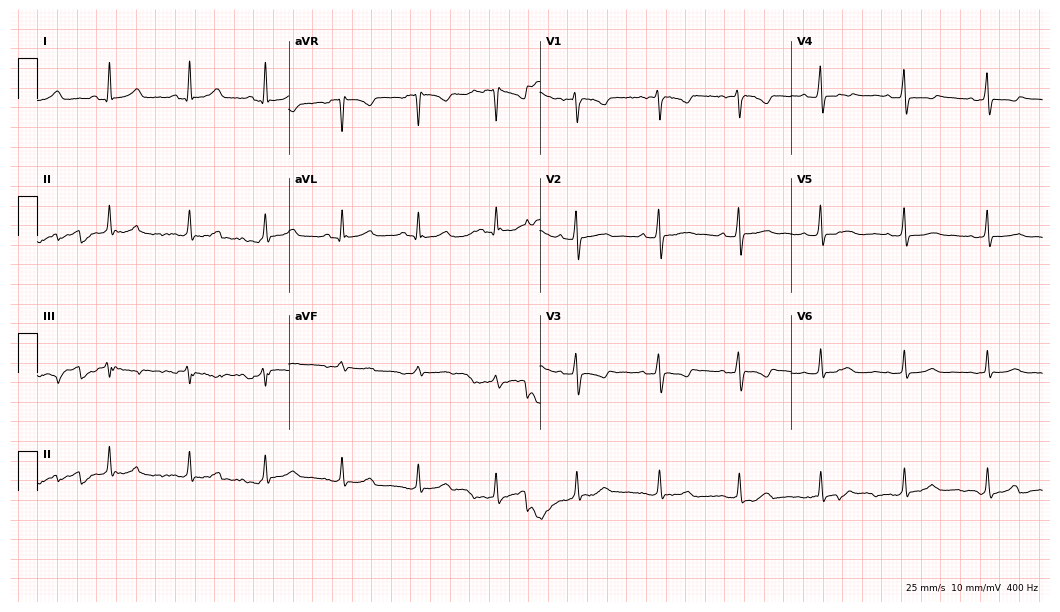
12-lead ECG from a female, 34 years old (10.2-second recording at 400 Hz). No first-degree AV block, right bundle branch block, left bundle branch block, sinus bradycardia, atrial fibrillation or sinus tachycardia recorded for this tracing.